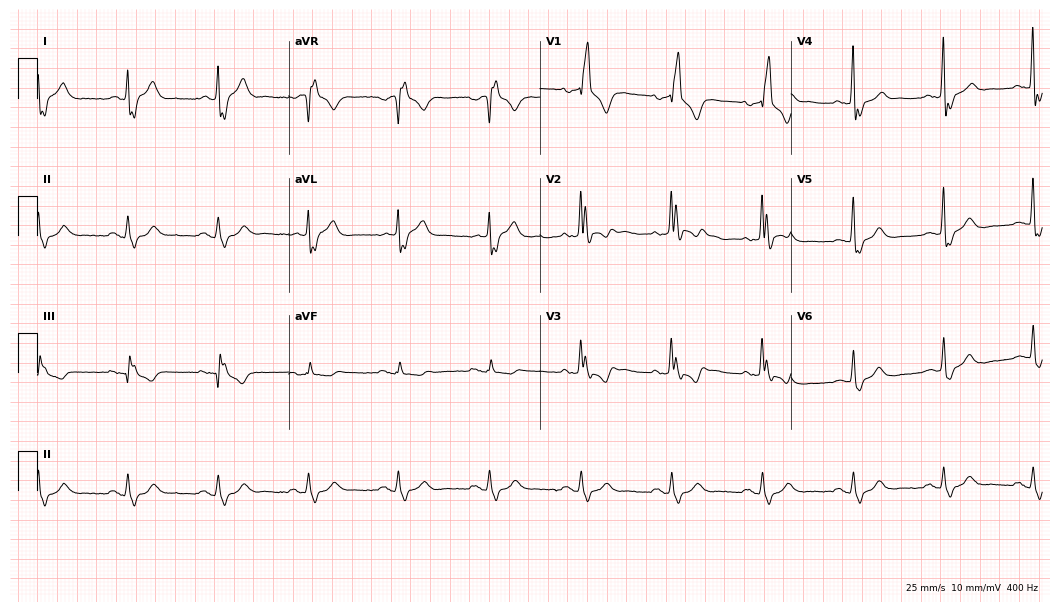
ECG — a man, 68 years old. Findings include right bundle branch block.